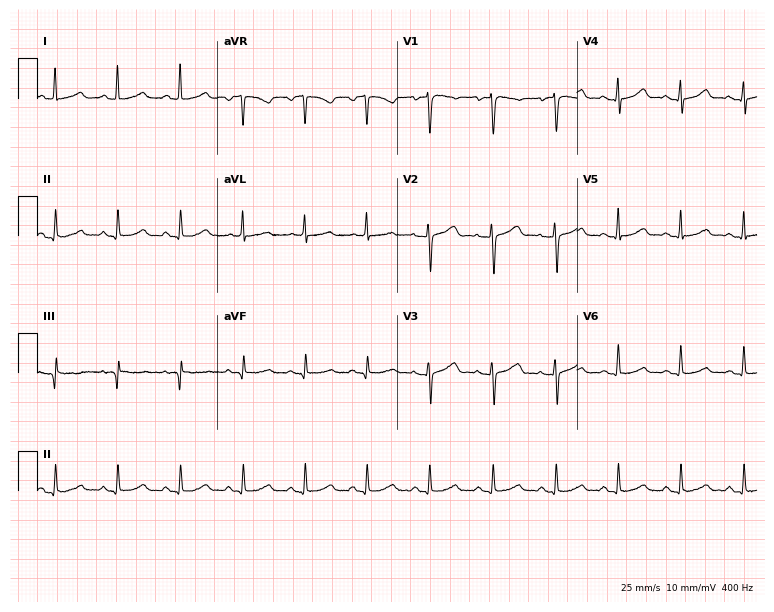
Resting 12-lead electrocardiogram (7.3-second recording at 400 Hz). Patient: a female, 50 years old. Read as a normal ECG.